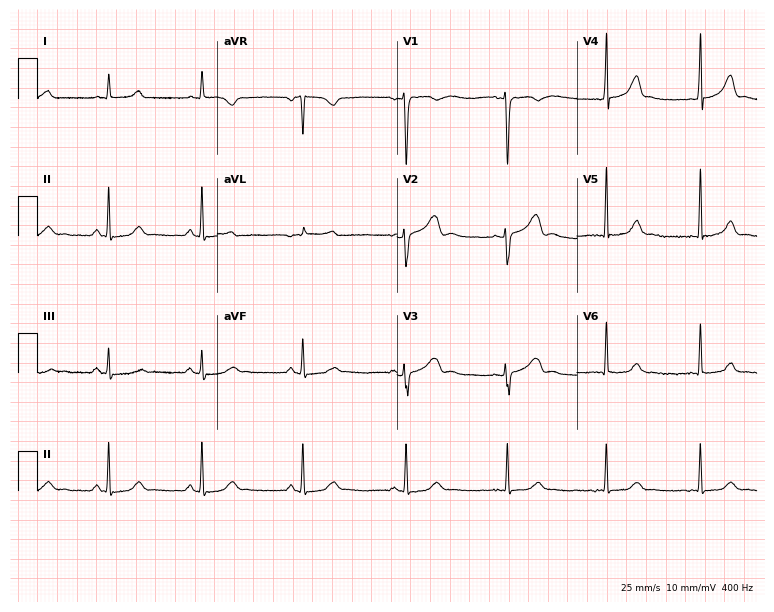
Electrocardiogram (7.3-second recording at 400 Hz), a 40-year-old female. Of the six screened findings (first-degree AV block, right bundle branch block, left bundle branch block, sinus bradycardia, atrial fibrillation, sinus tachycardia), none is recorded. Other findings, if any, are not listed.